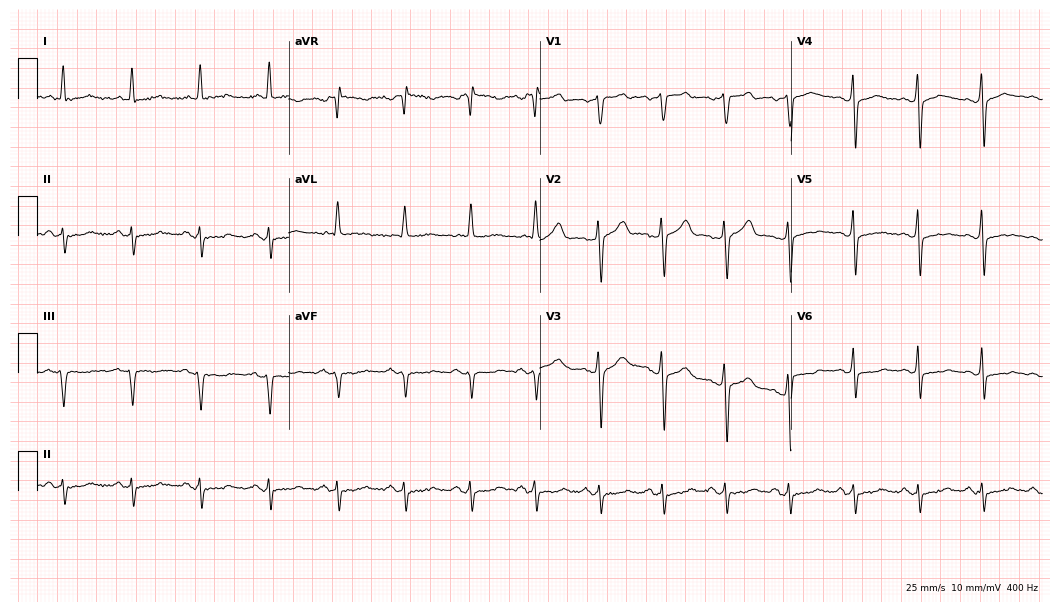
12-lead ECG from a 52-year-old man. No first-degree AV block, right bundle branch block, left bundle branch block, sinus bradycardia, atrial fibrillation or sinus tachycardia recorded for this tracing. Findings outside these six are not listed.